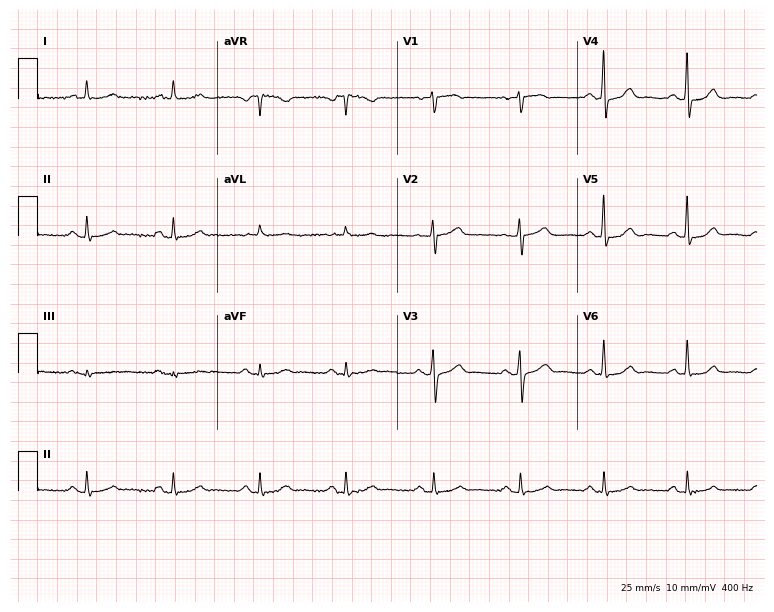
Resting 12-lead electrocardiogram. Patient: a 70-year-old woman. None of these six findings is recorded: first-degree AV block, right bundle branch block, left bundle branch block, sinus bradycardia, atrial fibrillation, sinus tachycardia. Other findings, if any, are not listed.